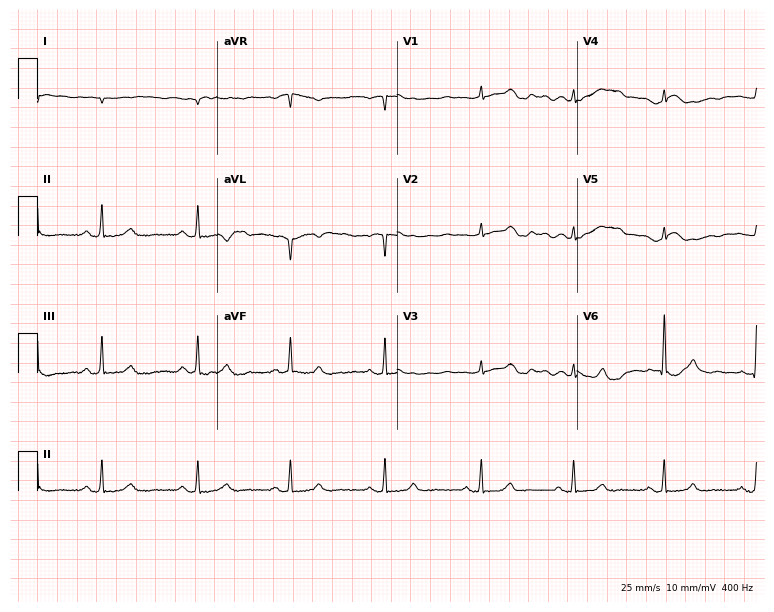
Standard 12-lead ECG recorded from a female patient, 54 years old (7.3-second recording at 400 Hz). Read as a normal ECG.